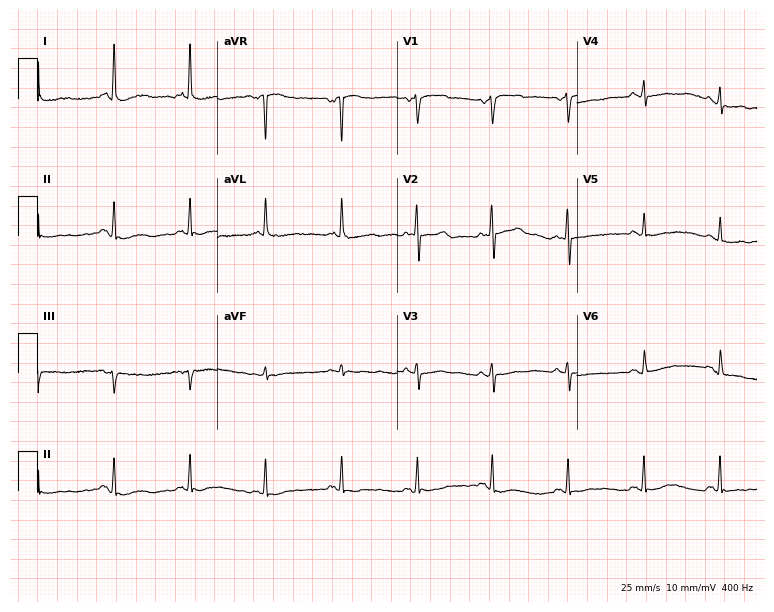
ECG — a female patient, 76 years old. Screened for six findings — first-degree AV block, right bundle branch block, left bundle branch block, sinus bradycardia, atrial fibrillation, sinus tachycardia — none is recorded. Findings outside these six are not listed.